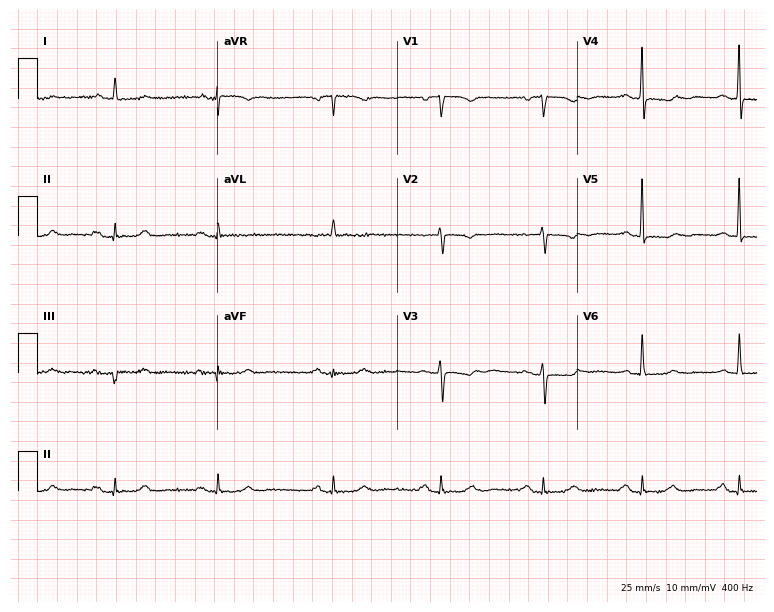
Resting 12-lead electrocardiogram (7.3-second recording at 400 Hz). Patient: a female, 82 years old. None of these six findings is recorded: first-degree AV block, right bundle branch block, left bundle branch block, sinus bradycardia, atrial fibrillation, sinus tachycardia. Findings outside these six are not listed.